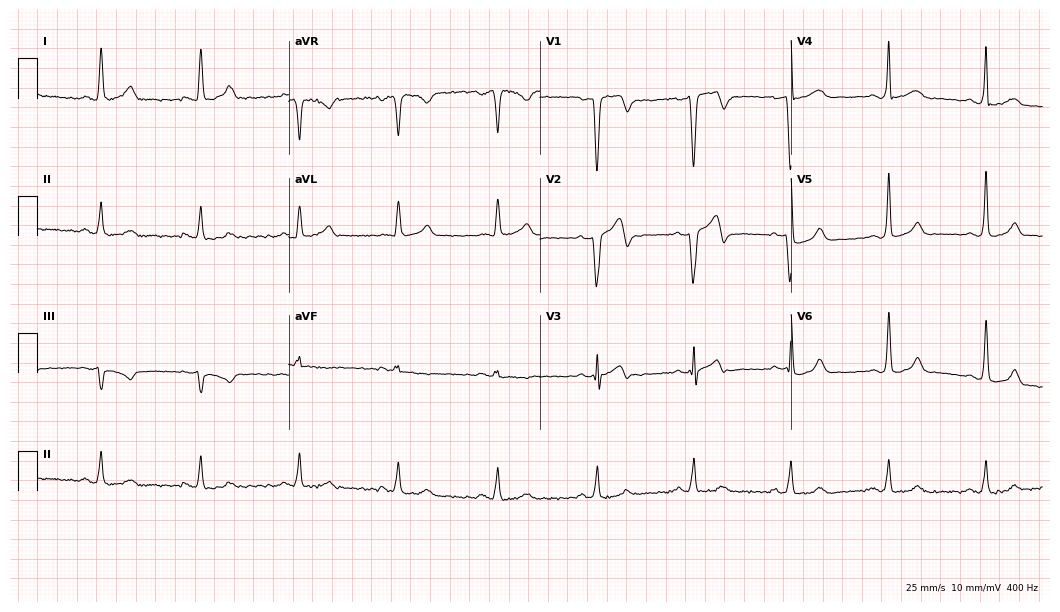
Electrocardiogram, a male, 41 years old. Of the six screened findings (first-degree AV block, right bundle branch block, left bundle branch block, sinus bradycardia, atrial fibrillation, sinus tachycardia), none is recorded. Only these six findings were labelled.